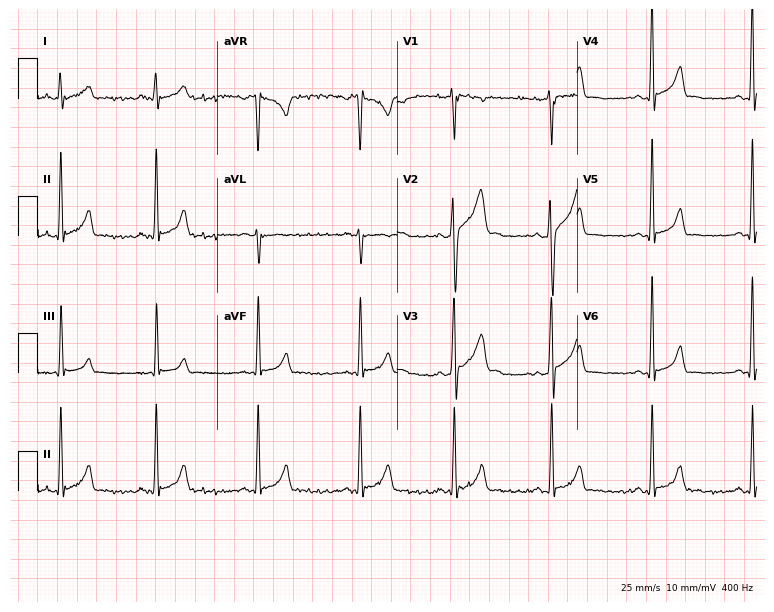
12-lead ECG from a 21-year-old man. Screened for six findings — first-degree AV block, right bundle branch block, left bundle branch block, sinus bradycardia, atrial fibrillation, sinus tachycardia — none is recorded.